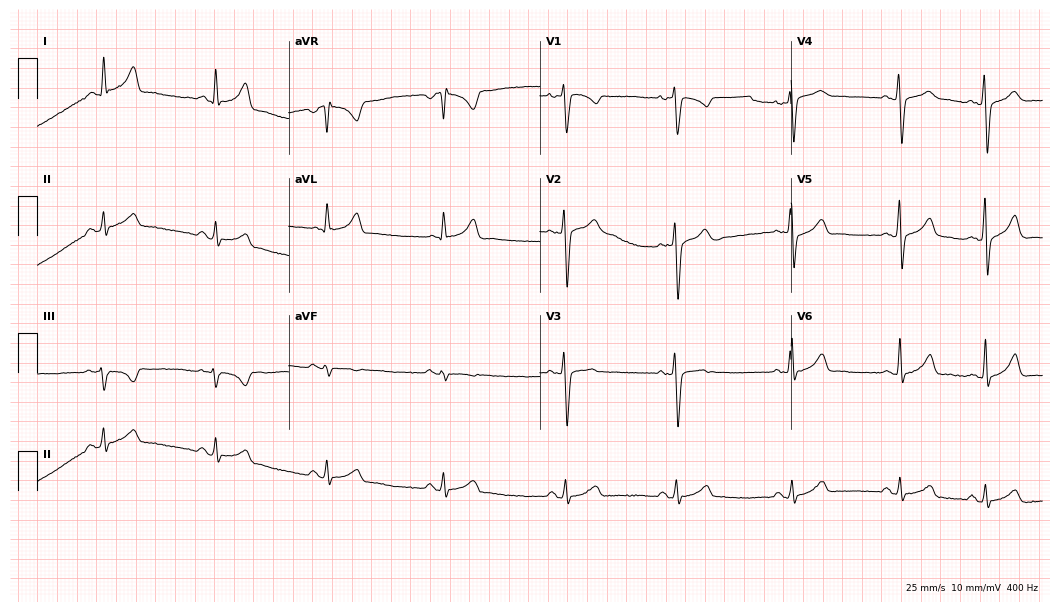
12-lead ECG (10.2-second recording at 400 Hz) from a woman, 29 years old. Labelled as a normal ECG.